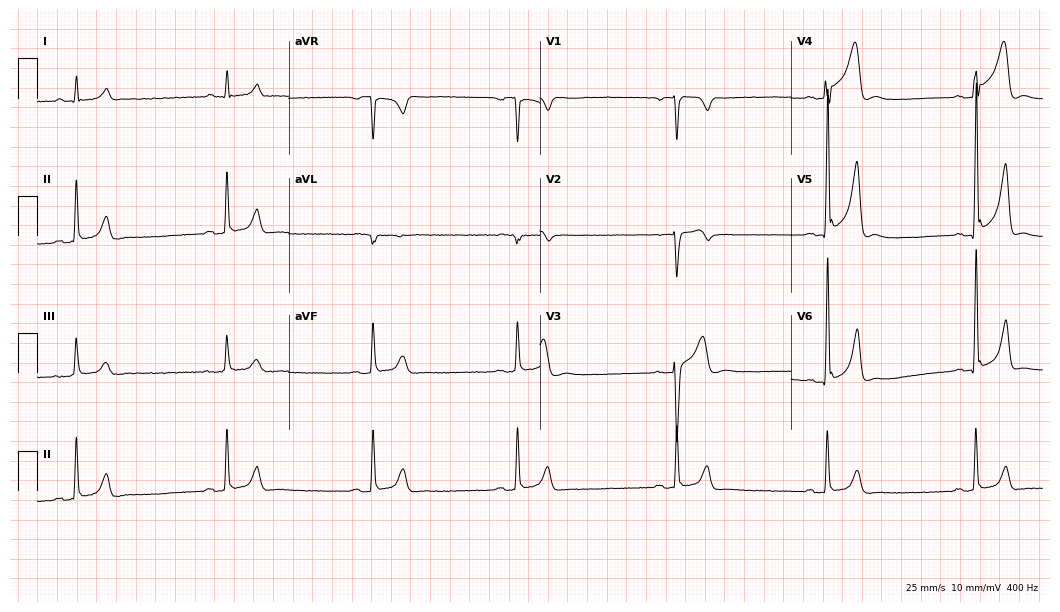
ECG — a male patient, 29 years old. Findings include sinus bradycardia (a sinus rate of 50 beats per minute or less).